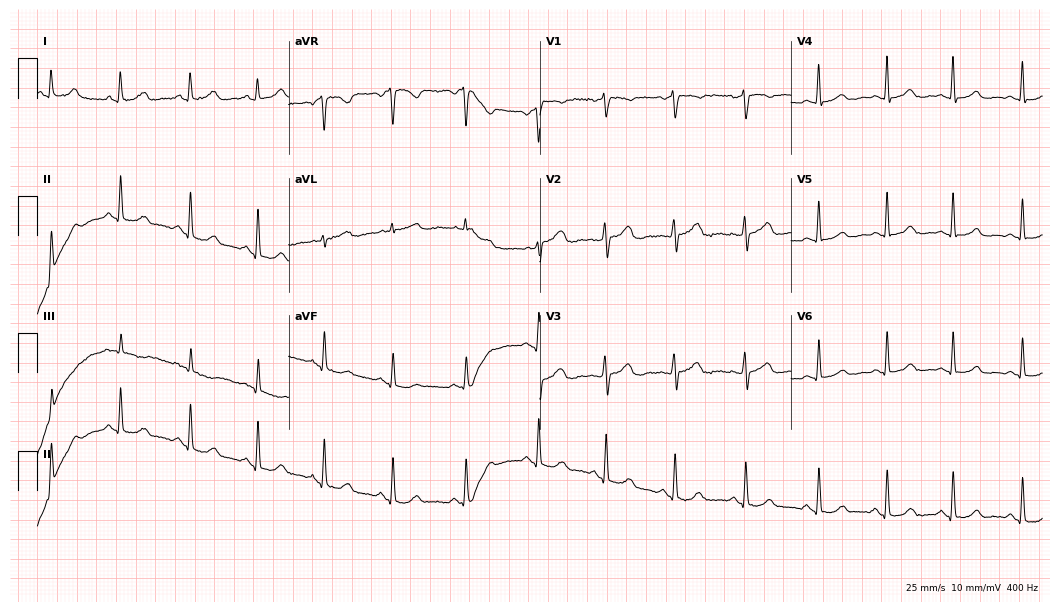
Resting 12-lead electrocardiogram (10.2-second recording at 400 Hz). Patient: a female, 52 years old. Read as a normal ECG.